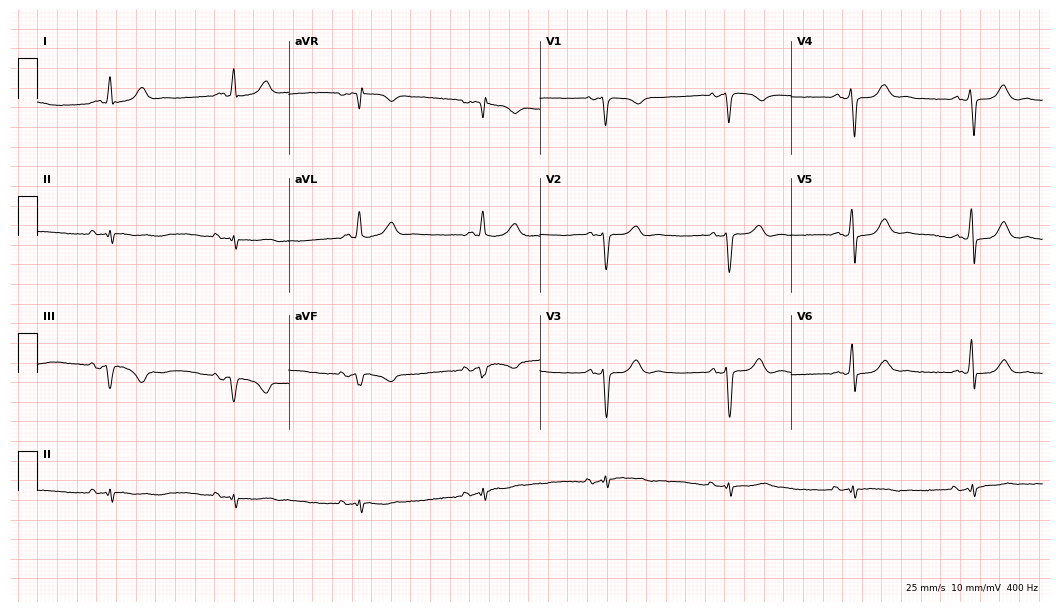
Electrocardiogram (10.2-second recording at 400 Hz), a 63-year-old male. Interpretation includes sinus bradycardia (a sinus rate of 50 beats per minute or less).